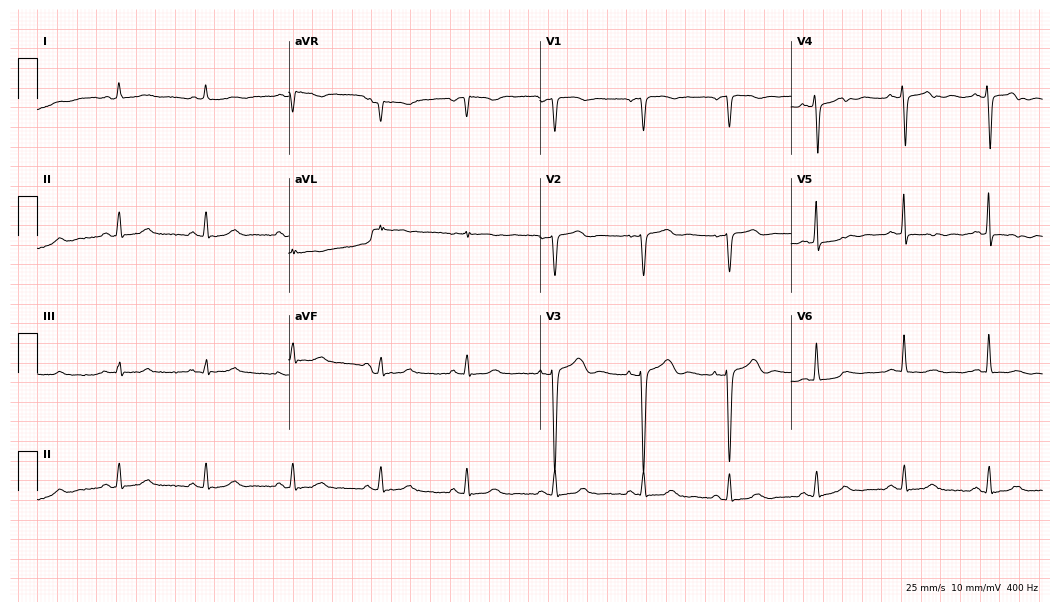
ECG (10.2-second recording at 400 Hz) — a female, 52 years old. Screened for six findings — first-degree AV block, right bundle branch block, left bundle branch block, sinus bradycardia, atrial fibrillation, sinus tachycardia — none is recorded.